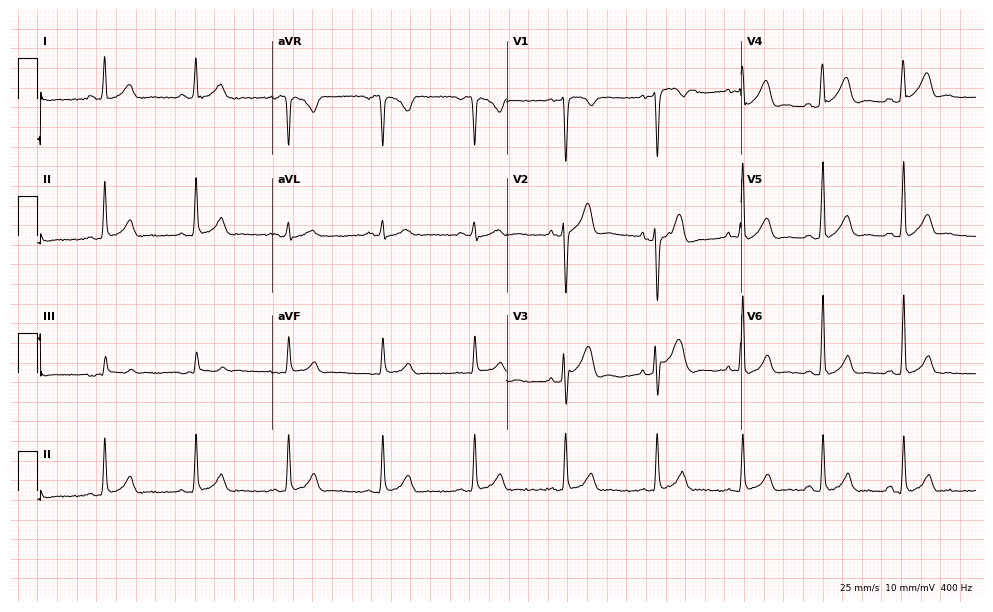
12-lead ECG from a 26-year-old male patient. Recorded interpretation: within normal limits.